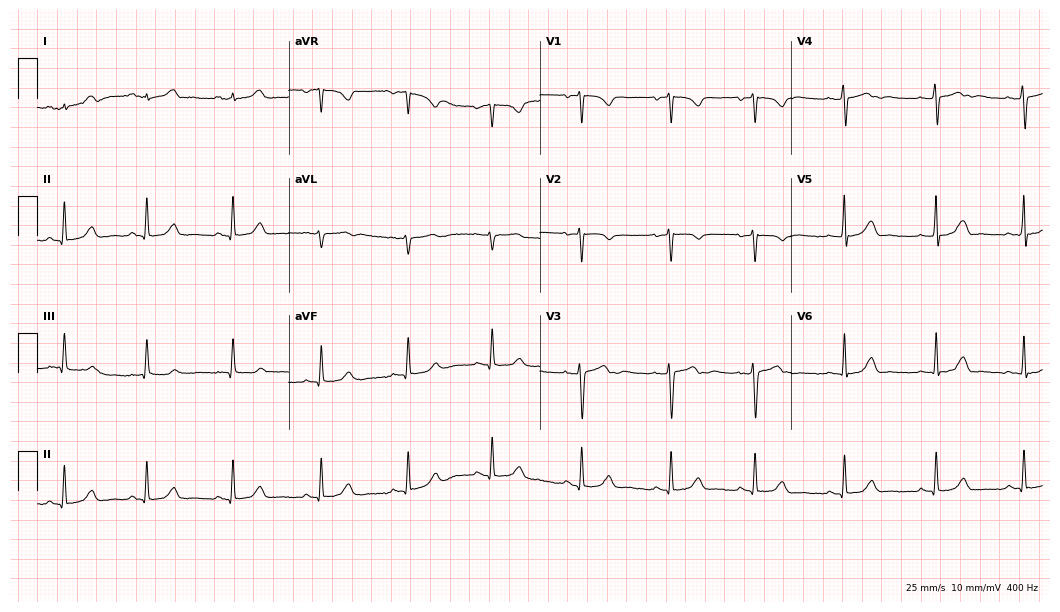
Standard 12-lead ECG recorded from a female, 21 years old (10.2-second recording at 400 Hz). None of these six findings is recorded: first-degree AV block, right bundle branch block (RBBB), left bundle branch block (LBBB), sinus bradycardia, atrial fibrillation (AF), sinus tachycardia.